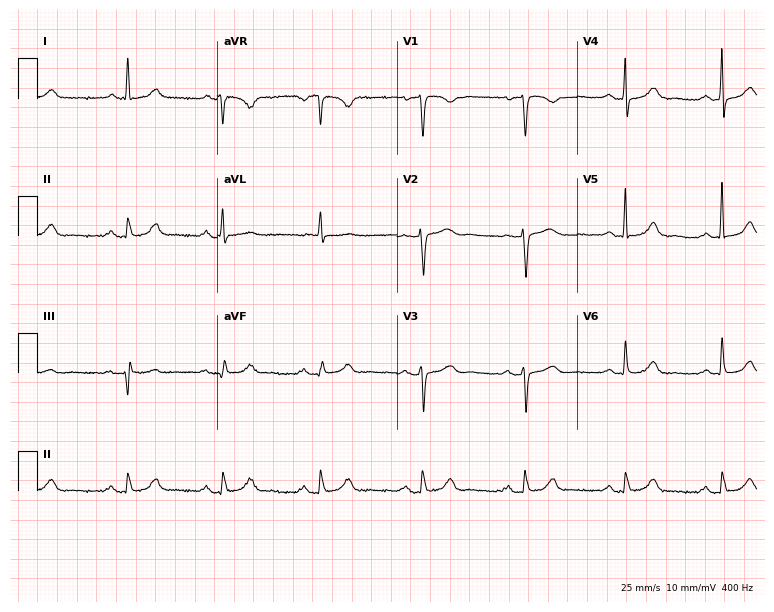
Electrocardiogram, a female, 71 years old. Overall reading on record: normal ECG.